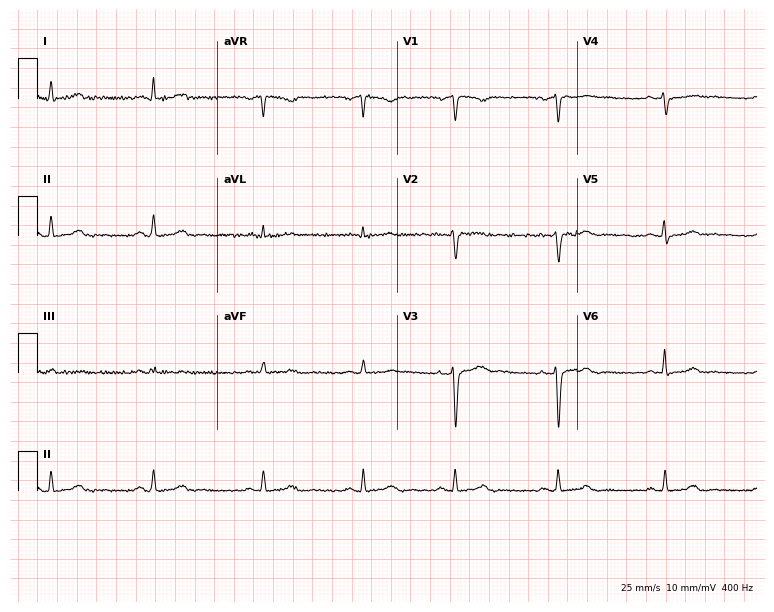
12-lead ECG (7.3-second recording at 400 Hz) from a female patient, 40 years old. Labelled as a normal ECG.